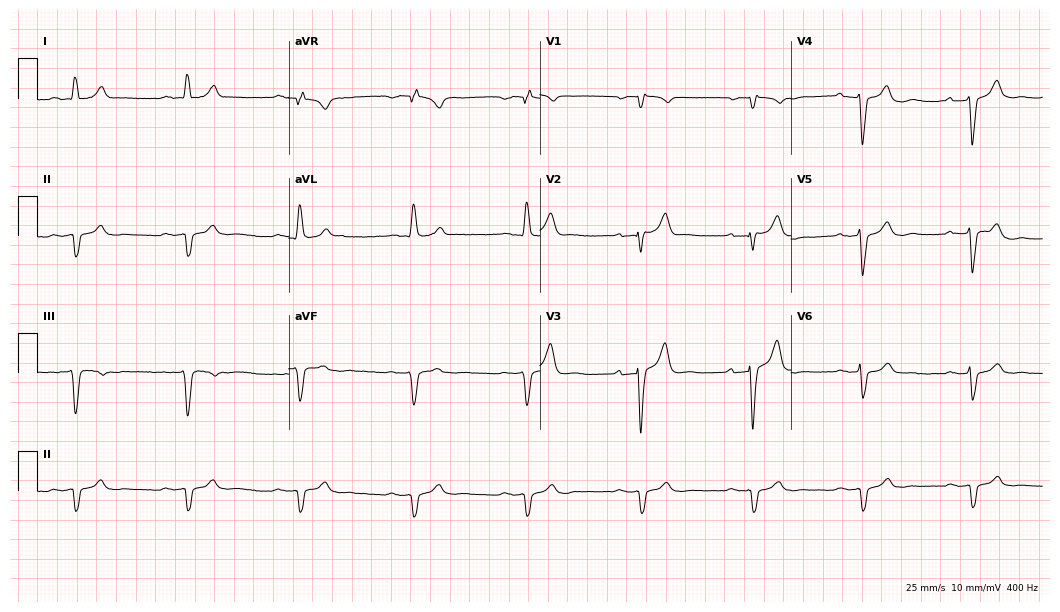
Resting 12-lead electrocardiogram (10.2-second recording at 400 Hz). Patient: a male, 84 years old. The tracing shows first-degree AV block.